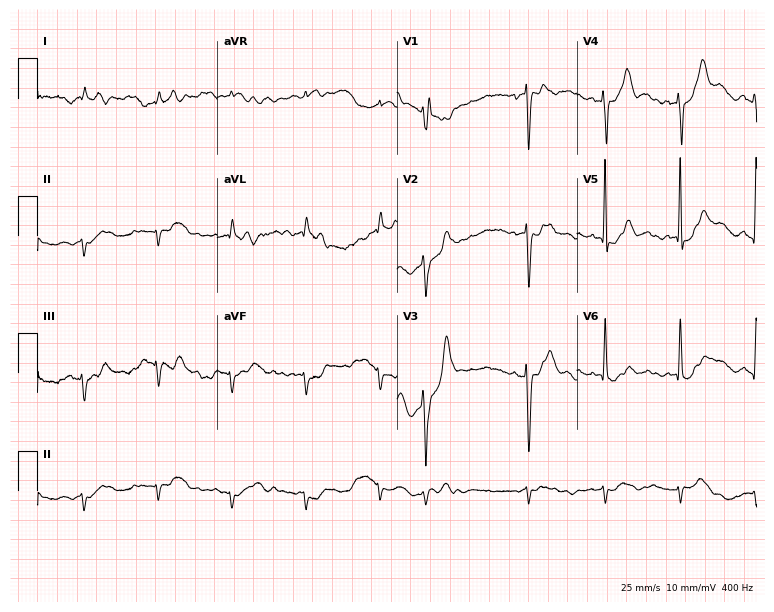
Electrocardiogram (7.3-second recording at 400 Hz), a female, 62 years old. Of the six screened findings (first-degree AV block, right bundle branch block (RBBB), left bundle branch block (LBBB), sinus bradycardia, atrial fibrillation (AF), sinus tachycardia), none is recorded.